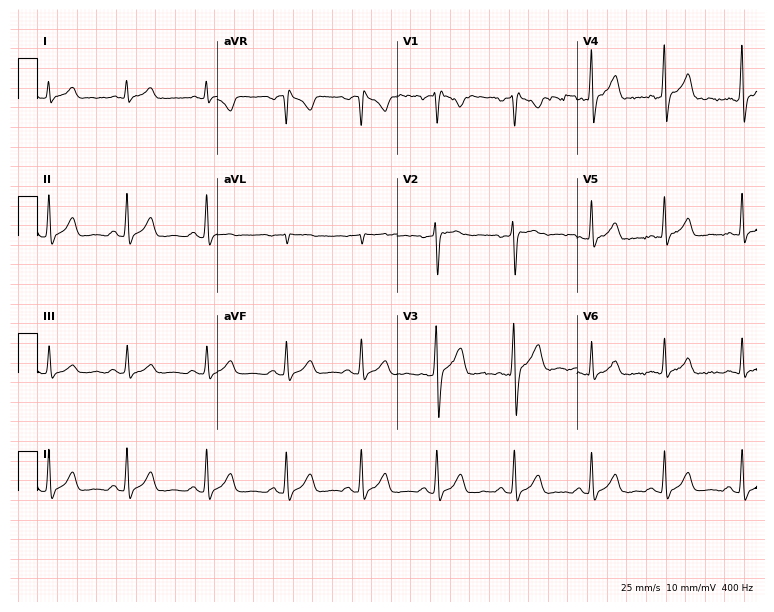
Electrocardiogram, a 33-year-old male patient. Of the six screened findings (first-degree AV block, right bundle branch block (RBBB), left bundle branch block (LBBB), sinus bradycardia, atrial fibrillation (AF), sinus tachycardia), none is recorded.